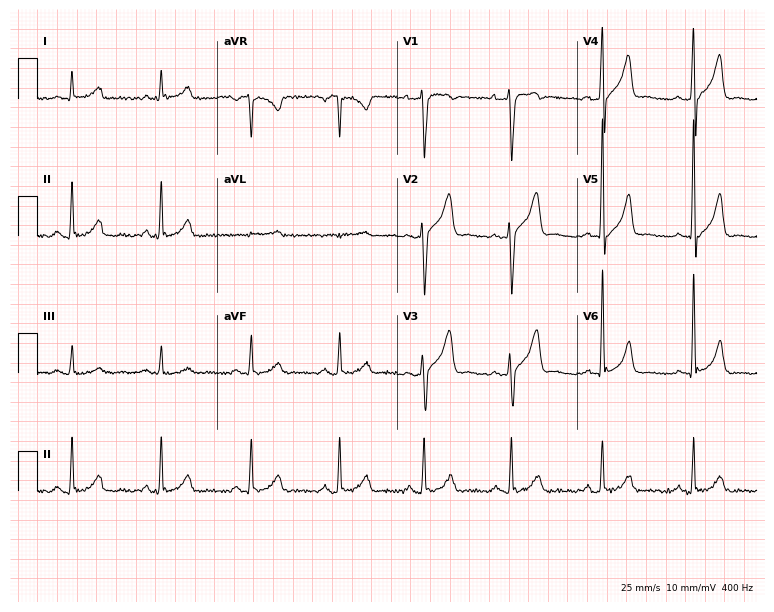
Electrocardiogram, a 41-year-old male patient. Of the six screened findings (first-degree AV block, right bundle branch block, left bundle branch block, sinus bradycardia, atrial fibrillation, sinus tachycardia), none is recorded.